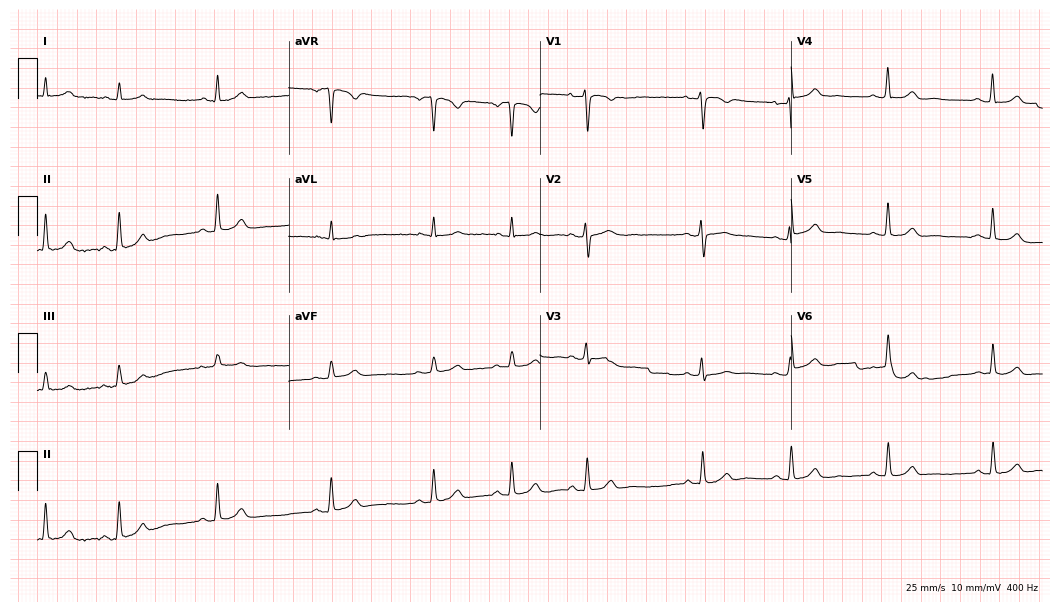
12-lead ECG (10.2-second recording at 400 Hz) from a 33-year-old woman. Labelled as a normal ECG.